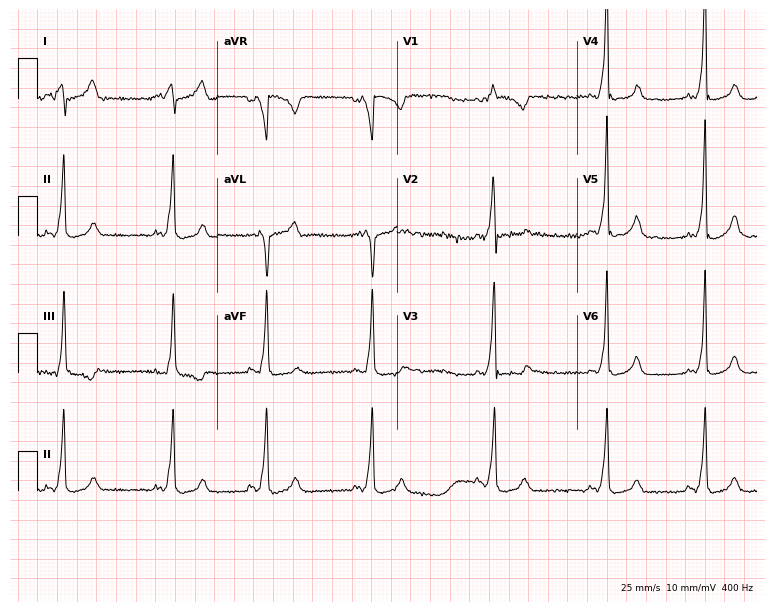
ECG (7.3-second recording at 400 Hz) — a male, 25 years old. Screened for six findings — first-degree AV block, right bundle branch block, left bundle branch block, sinus bradycardia, atrial fibrillation, sinus tachycardia — none is recorded. Other findings, if any, are not listed.